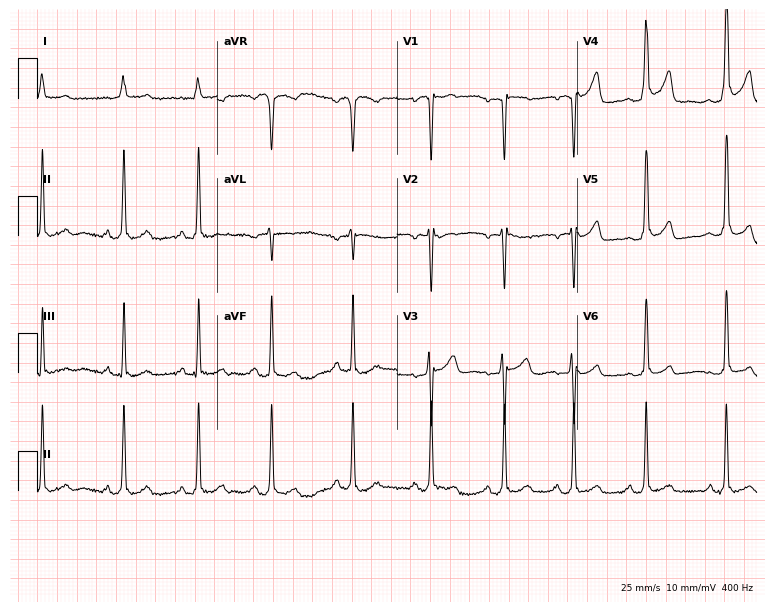
12-lead ECG from a male patient, 24 years old (7.3-second recording at 400 Hz). No first-degree AV block, right bundle branch block (RBBB), left bundle branch block (LBBB), sinus bradycardia, atrial fibrillation (AF) or sinus tachycardia recorded for this tracing.